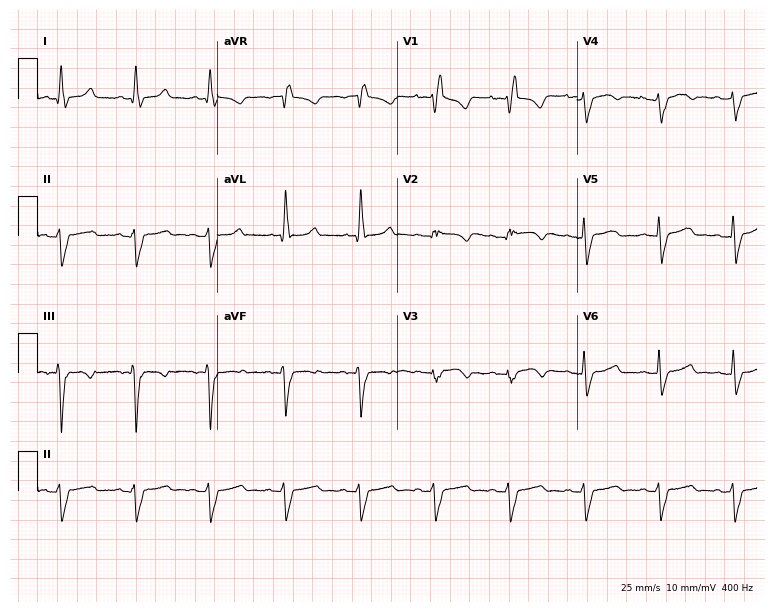
Electrocardiogram, a 39-year-old female. Interpretation includes right bundle branch block (RBBB).